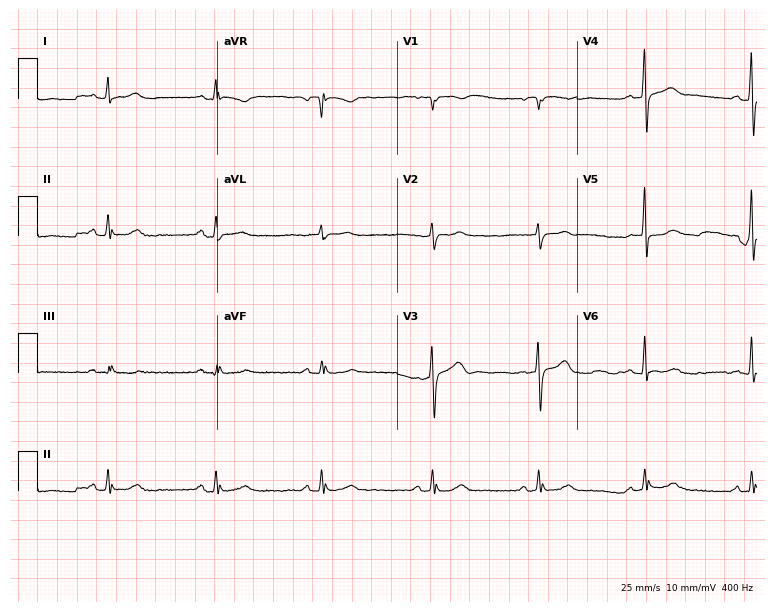
12-lead ECG (7.3-second recording at 400 Hz) from a male, 54 years old. Labelled as a normal ECG.